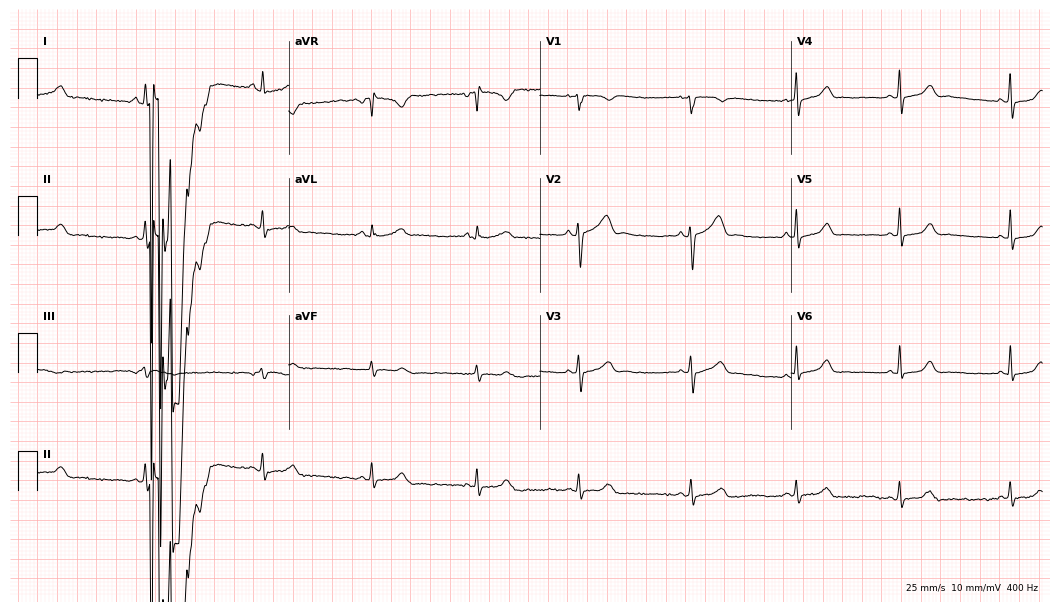
Resting 12-lead electrocardiogram (10.2-second recording at 400 Hz). Patient: a 22-year-old woman. None of these six findings is recorded: first-degree AV block, right bundle branch block, left bundle branch block, sinus bradycardia, atrial fibrillation, sinus tachycardia.